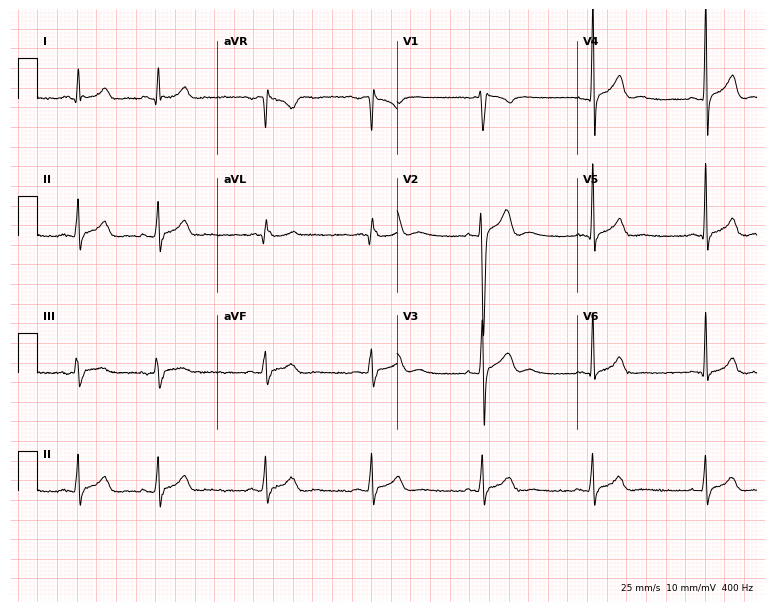
Electrocardiogram (7.3-second recording at 400 Hz), a male, 21 years old. Of the six screened findings (first-degree AV block, right bundle branch block, left bundle branch block, sinus bradycardia, atrial fibrillation, sinus tachycardia), none is recorded. Findings outside these six are not listed.